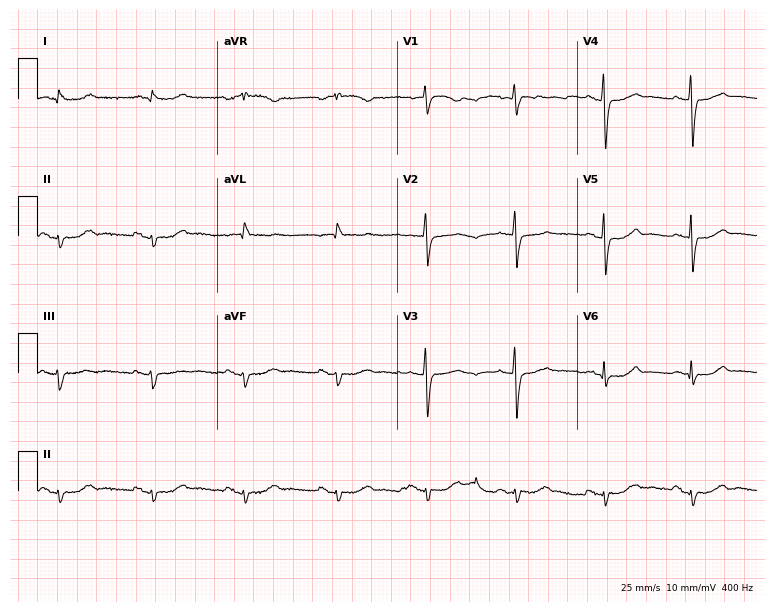
12-lead ECG from a woman, 81 years old. No first-degree AV block, right bundle branch block, left bundle branch block, sinus bradycardia, atrial fibrillation or sinus tachycardia recorded for this tracing.